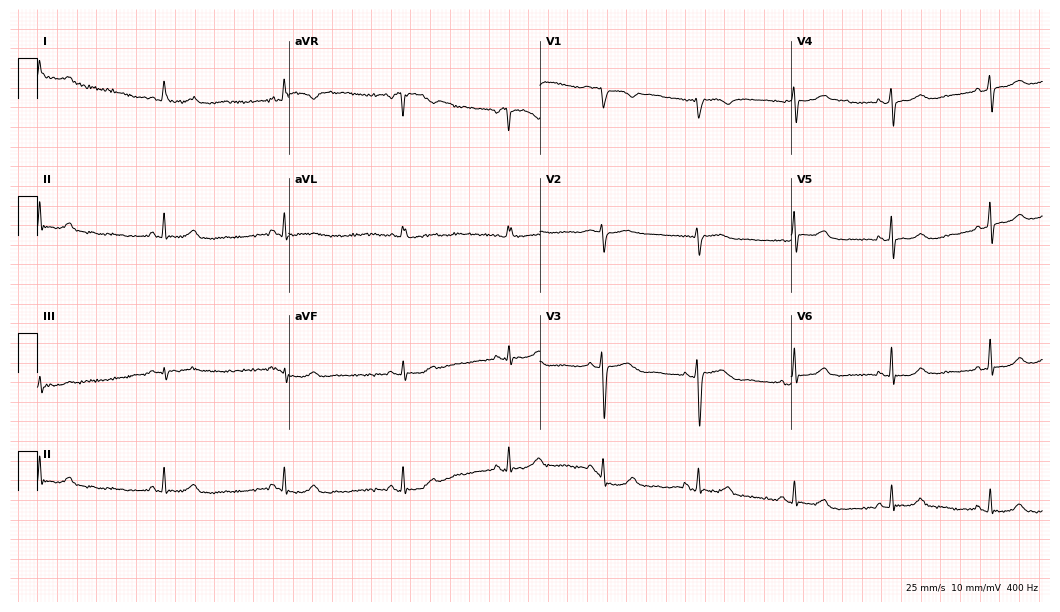
Resting 12-lead electrocardiogram (10.2-second recording at 400 Hz). Patient: a female, 74 years old. Read as a normal ECG.